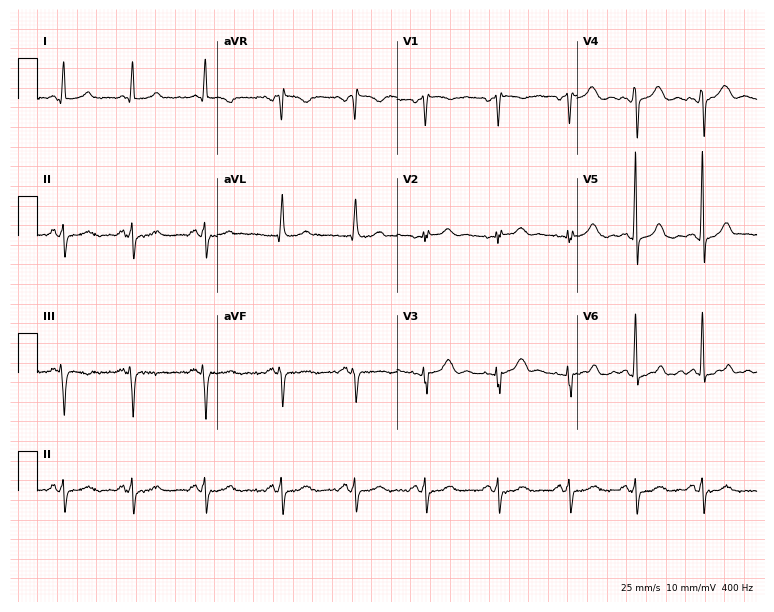
Electrocardiogram, a 45-year-old female. Of the six screened findings (first-degree AV block, right bundle branch block, left bundle branch block, sinus bradycardia, atrial fibrillation, sinus tachycardia), none is recorded. Findings outside these six are not listed.